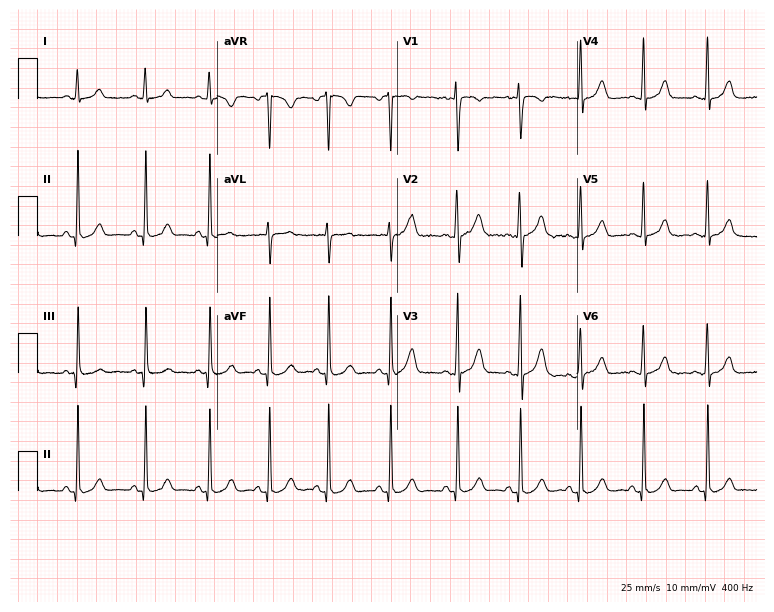
12-lead ECG from a female patient, 22 years old. Labelled as a normal ECG.